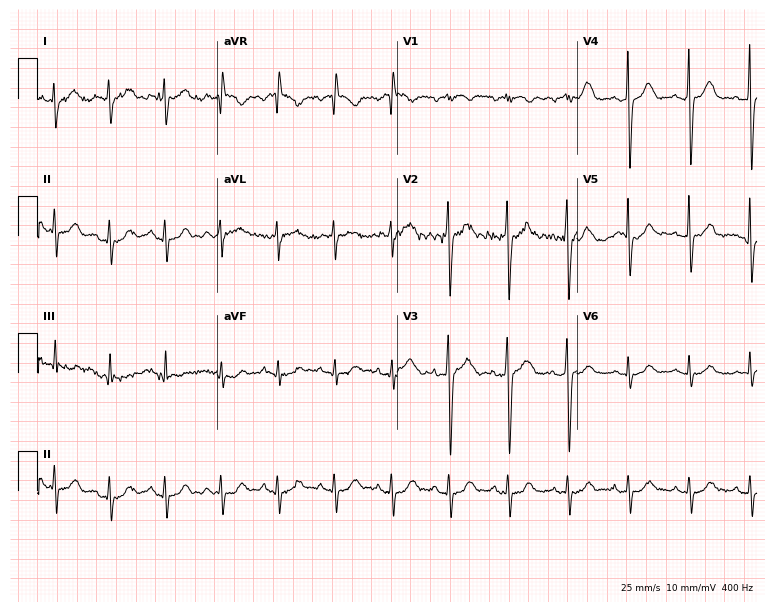
Standard 12-lead ECG recorded from a 55-year-old man. Read as a normal ECG.